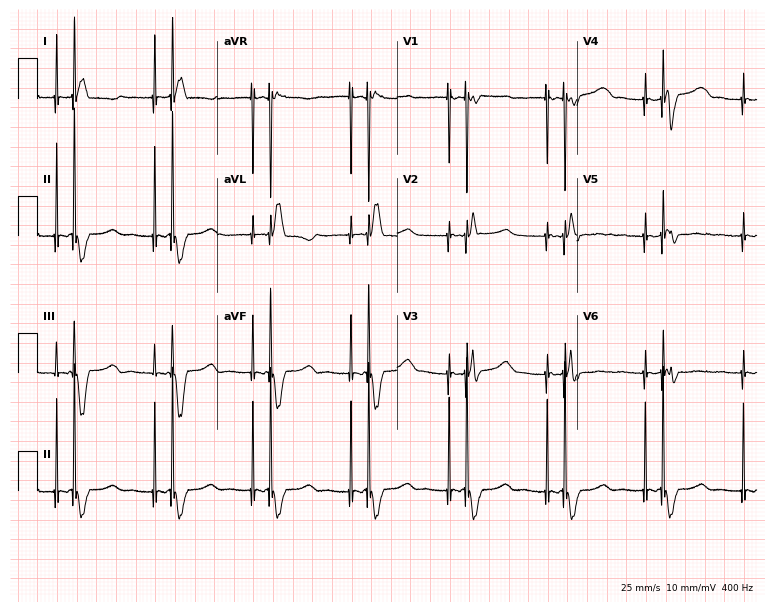
Resting 12-lead electrocardiogram. Patient: a male, 74 years old. None of these six findings is recorded: first-degree AV block, right bundle branch block, left bundle branch block, sinus bradycardia, atrial fibrillation, sinus tachycardia.